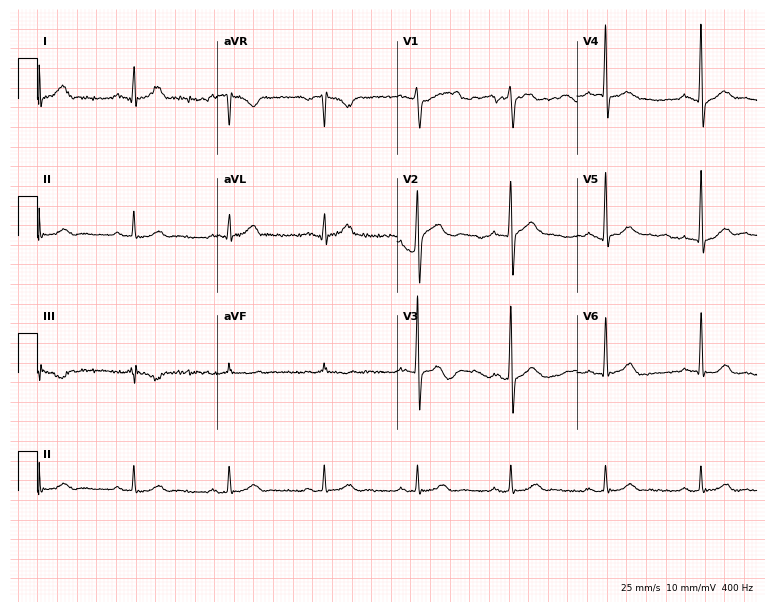
12-lead ECG (7.3-second recording at 400 Hz) from a 35-year-old male. Labelled as a normal ECG.